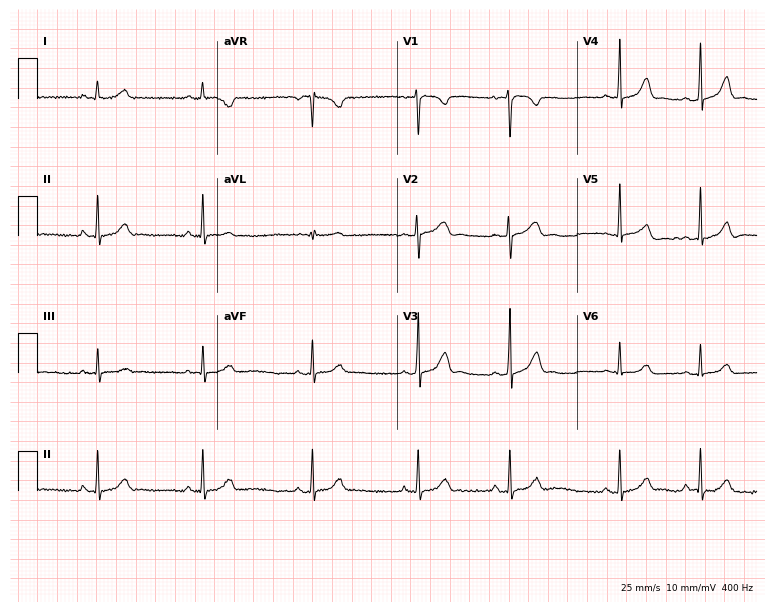
12-lead ECG from a 17-year-old female (7.3-second recording at 400 Hz). Recorded interpretation: within normal limits.